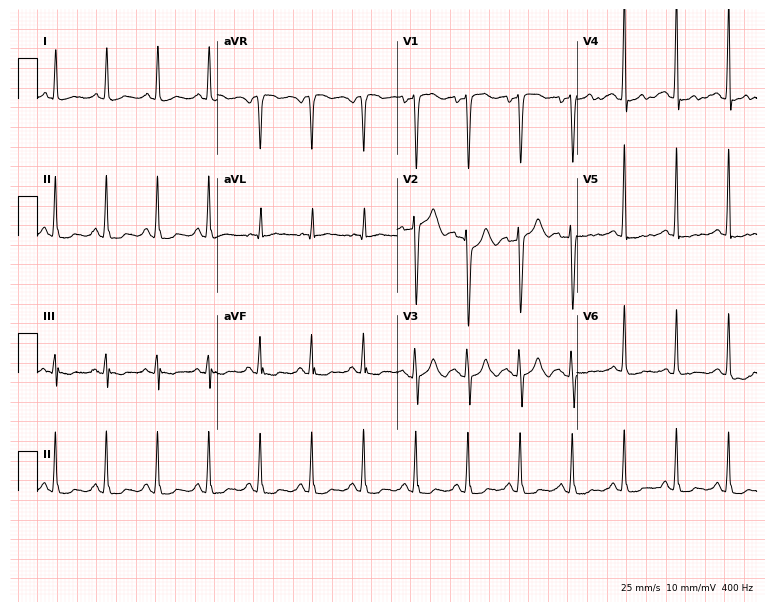
Standard 12-lead ECG recorded from a woman, 53 years old (7.3-second recording at 400 Hz). The tracing shows sinus tachycardia (a sinus rate of 100 beats per minute or more).